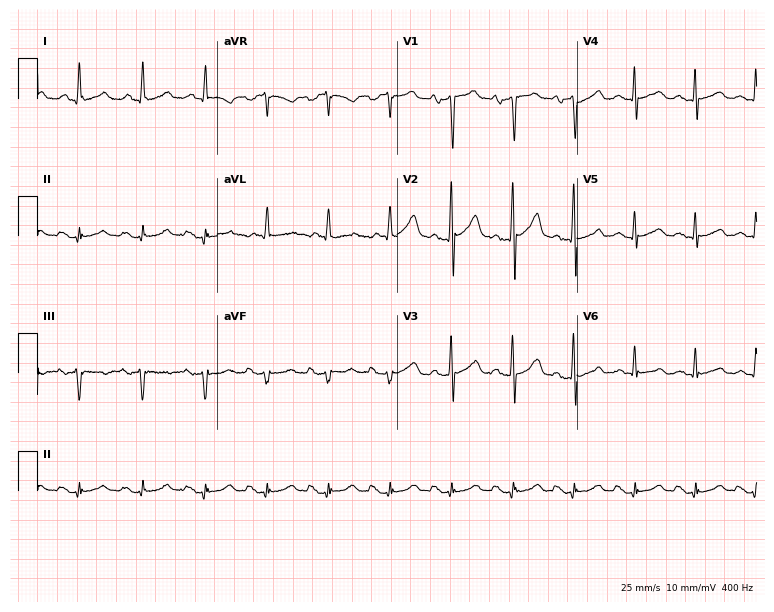
12-lead ECG from a male patient, 66 years old. Recorded interpretation: within normal limits.